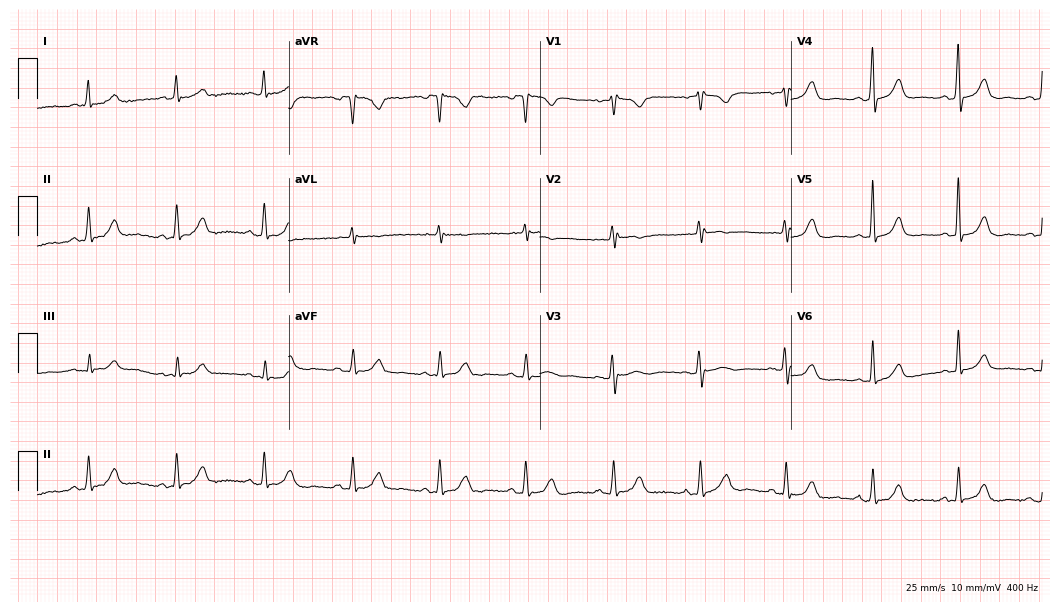
ECG (10.2-second recording at 400 Hz) — a 52-year-old female patient. Screened for six findings — first-degree AV block, right bundle branch block, left bundle branch block, sinus bradycardia, atrial fibrillation, sinus tachycardia — none is recorded.